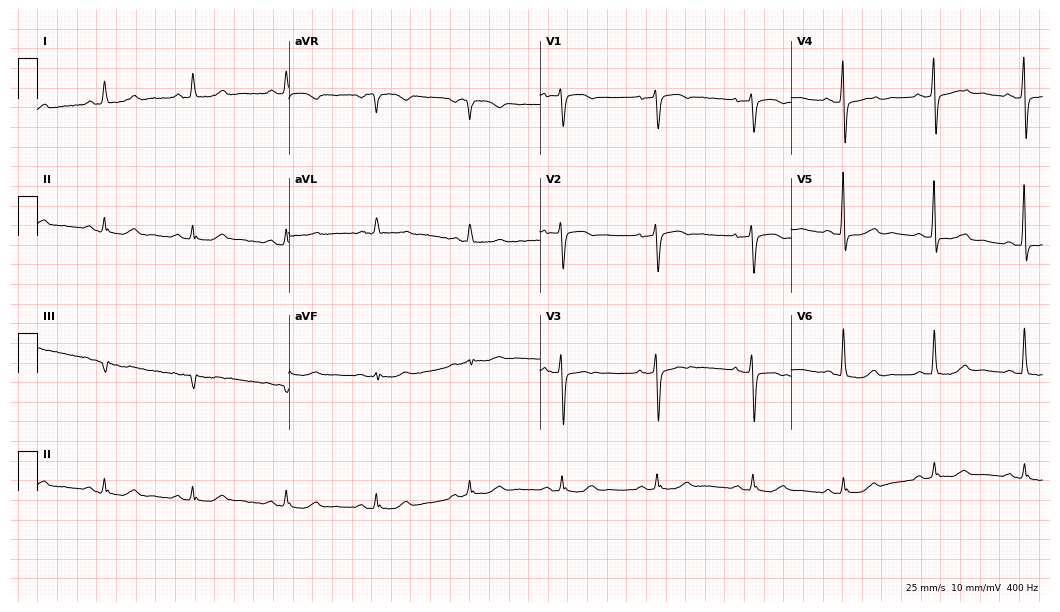
12-lead ECG from a female patient, 70 years old. No first-degree AV block, right bundle branch block (RBBB), left bundle branch block (LBBB), sinus bradycardia, atrial fibrillation (AF) or sinus tachycardia recorded for this tracing.